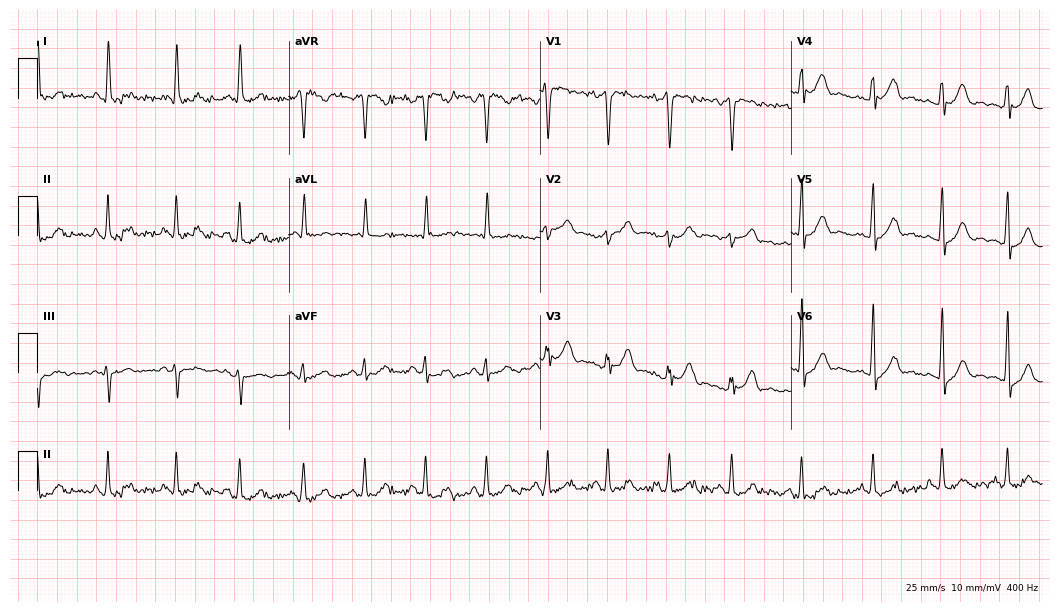
Electrocardiogram, a male, 35 years old. Overall reading on record: normal ECG.